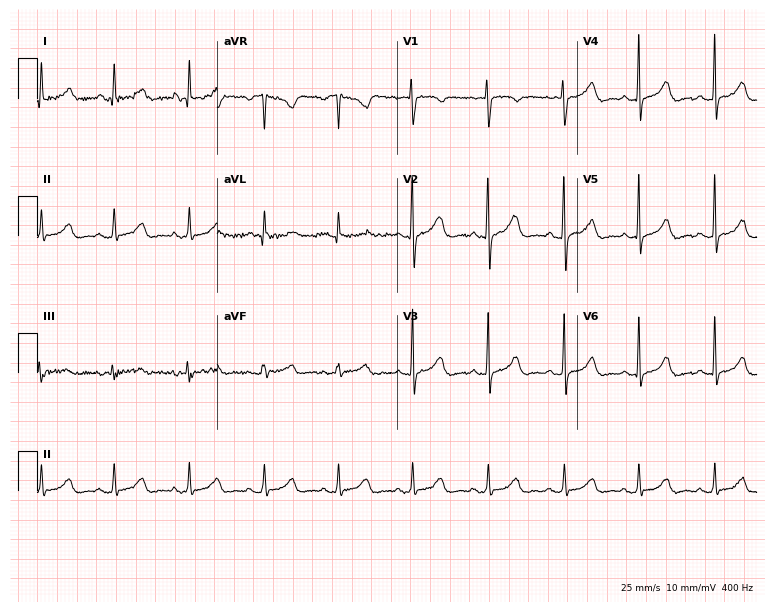
ECG (7.3-second recording at 400 Hz) — a female patient, 26 years old. Screened for six findings — first-degree AV block, right bundle branch block (RBBB), left bundle branch block (LBBB), sinus bradycardia, atrial fibrillation (AF), sinus tachycardia — none is recorded. Only these six findings were labelled.